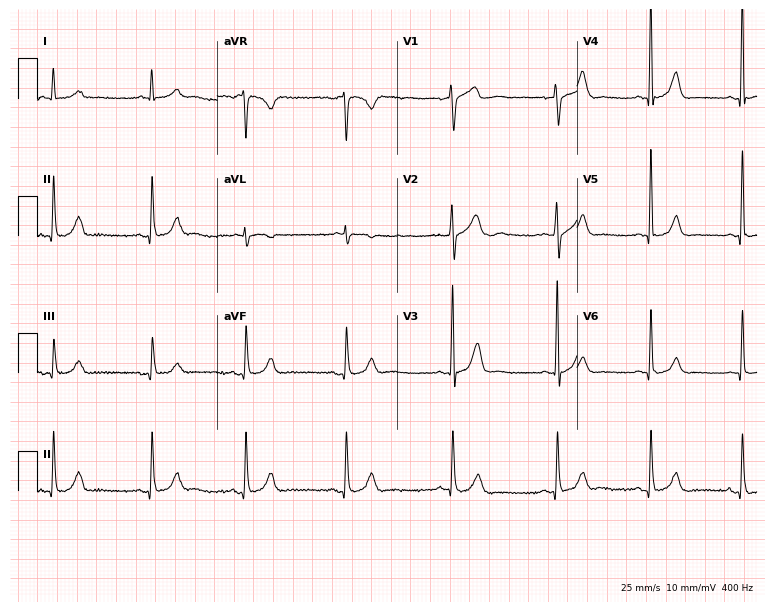
12-lead ECG from a 50-year-old man (7.3-second recording at 400 Hz). No first-degree AV block, right bundle branch block, left bundle branch block, sinus bradycardia, atrial fibrillation or sinus tachycardia recorded for this tracing.